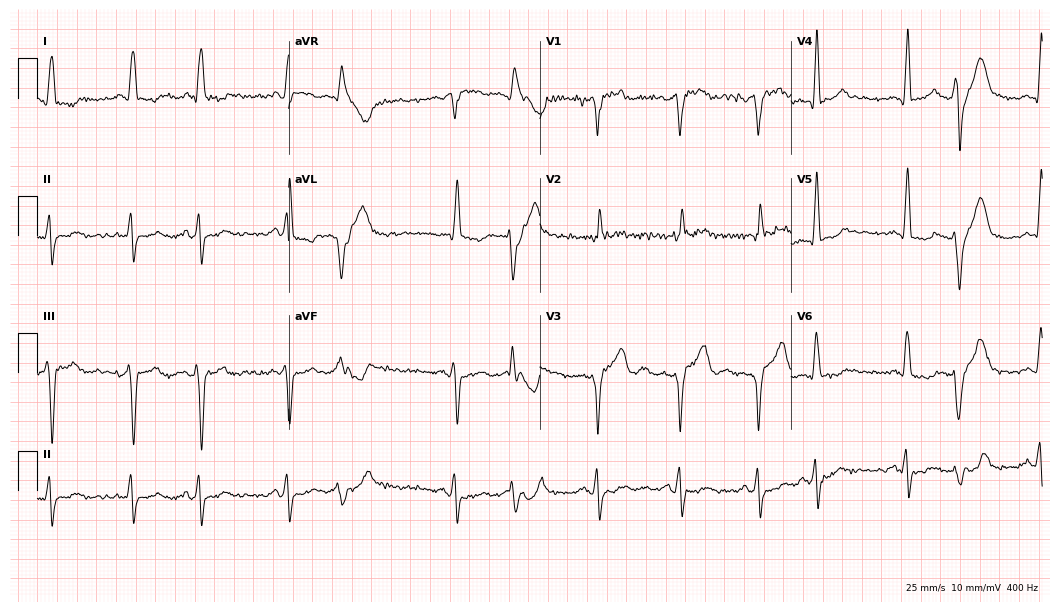
12-lead ECG from a 67-year-old male. No first-degree AV block, right bundle branch block, left bundle branch block, sinus bradycardia, atrial fibrillation or sinus tachycardia recorded for this tracing. Findings outside these six are not listed.